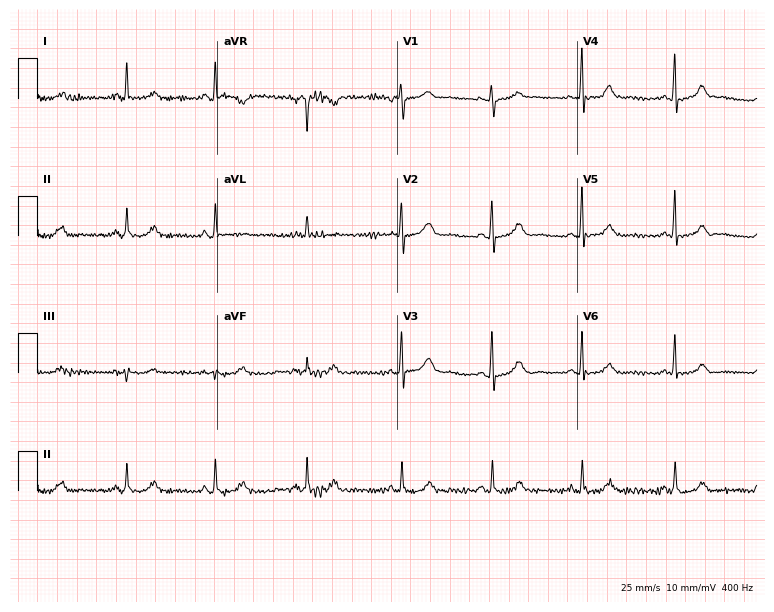
Resting 12-lead electrocardiogram. Patient: a 65-year-old woman. Read as a normal ECG.